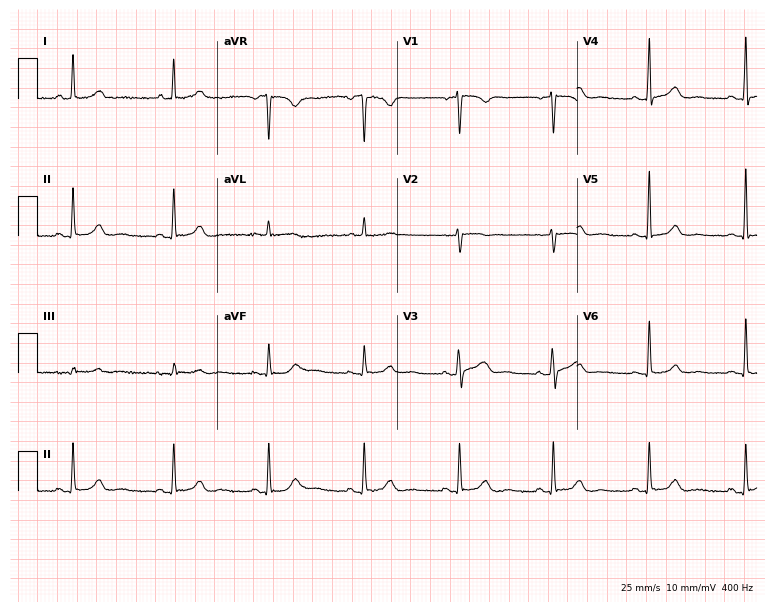
ECG (7.3-second recording at 400 Hz) — a 53-year-old female patient. Labelled as a normal ECG.